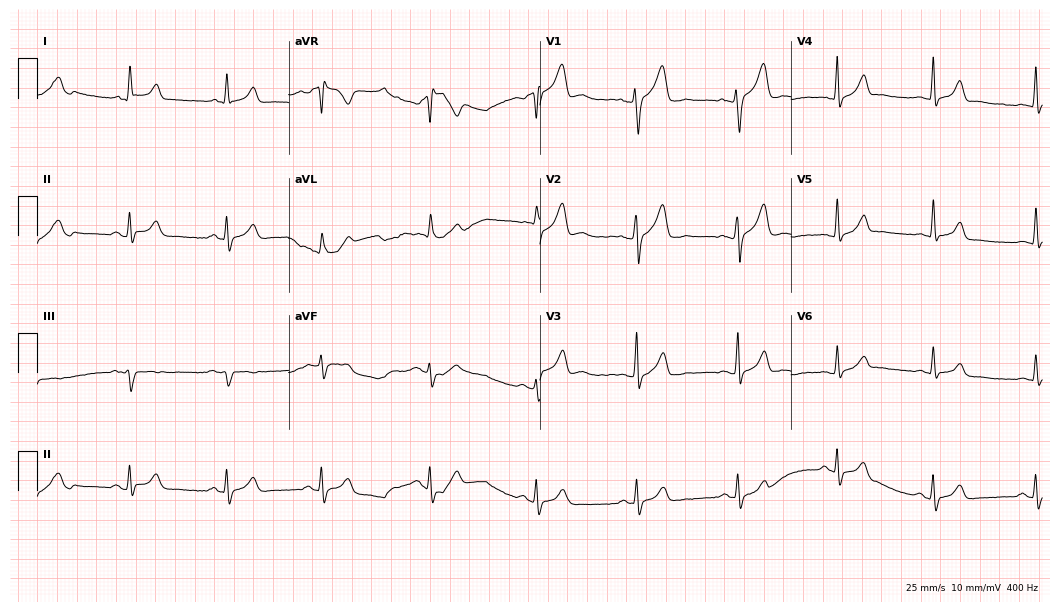
Standard 12-lead ECG recorded from a woman, 22 years old. Read as a normal ECG.